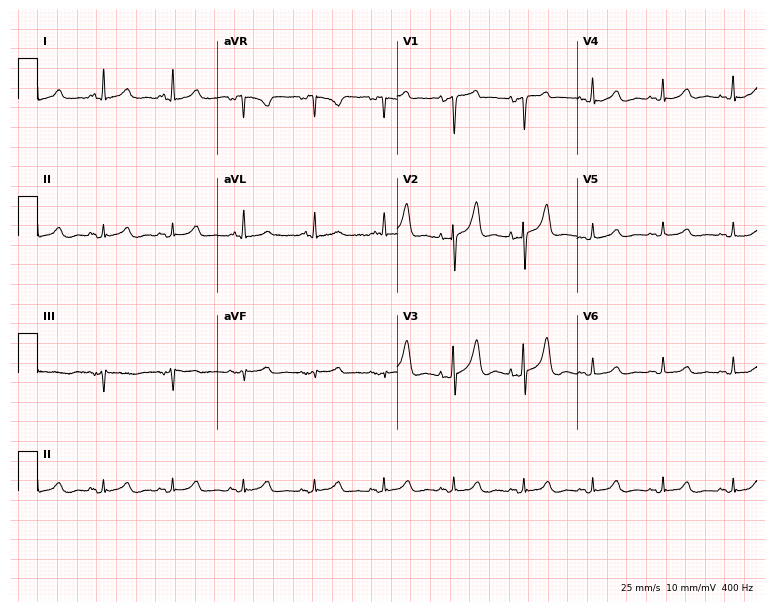
12-lead ECG from an 82-year-old female patient (7.3-second recording at 400 Hz). Recorded interpretation: within normal limits.